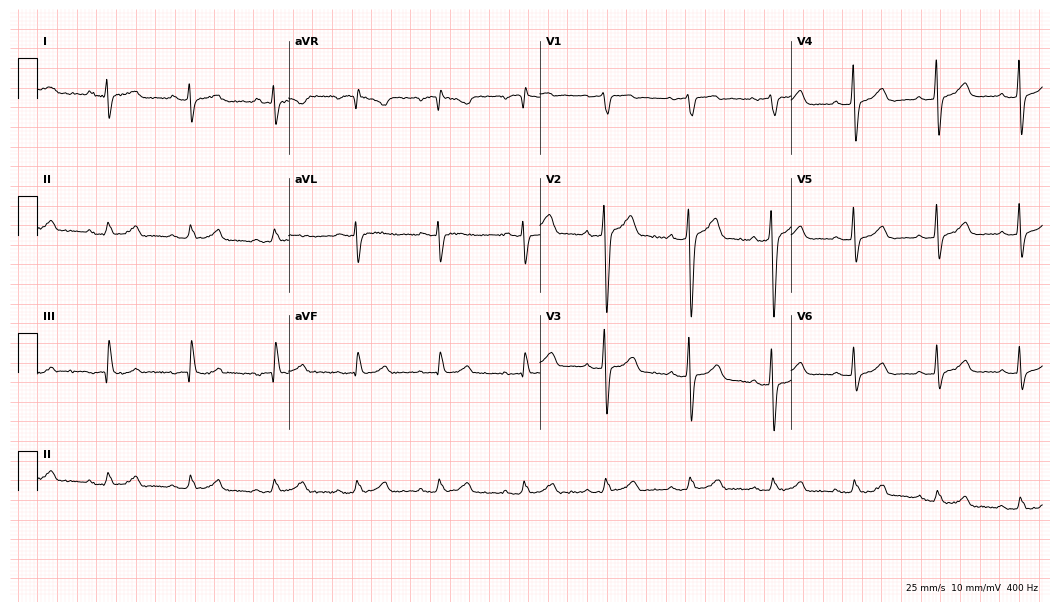
Standard 12-lead ECG recorded from a 50-year-old male (10.2-second recording at 400 Hz). None of these six findings is recorded: first-degree AV block, right bundle branch block, left bundle branch block, sinus bradycardia, atrial fibrillation, sinus tachycardia.